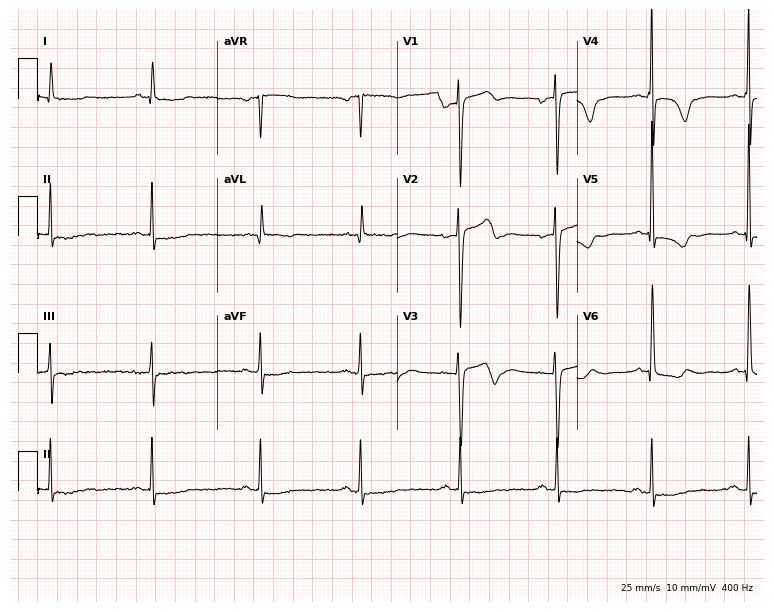
Electrocardiogram, a woman, 74 years old. Of the six screened findings (first-degree AV block, right bundle branch block (RBBB), left bundle branch block (LBBB), sinus bradycardia, atrial fibrillation (AF), sinus tachycardia), none is recorded. Other findings, if any, are not listed.